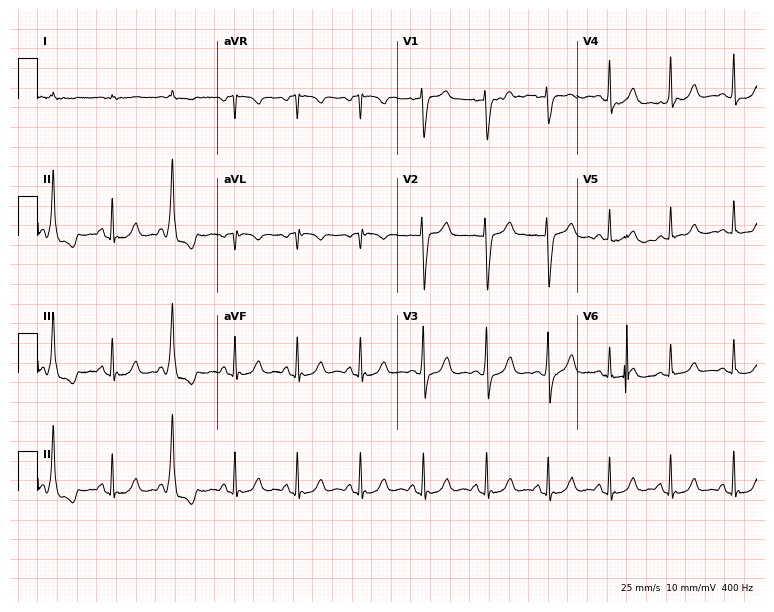
Electrocardiogram (7.3-second recording at 400 Hz), a 78-year-old male. Of the six screened findings (first-degree AV block, right bundle branch block, left bundle branch block, sinus bradycardia, atrial fibrillation, sinus tachycardia), none is recorded.